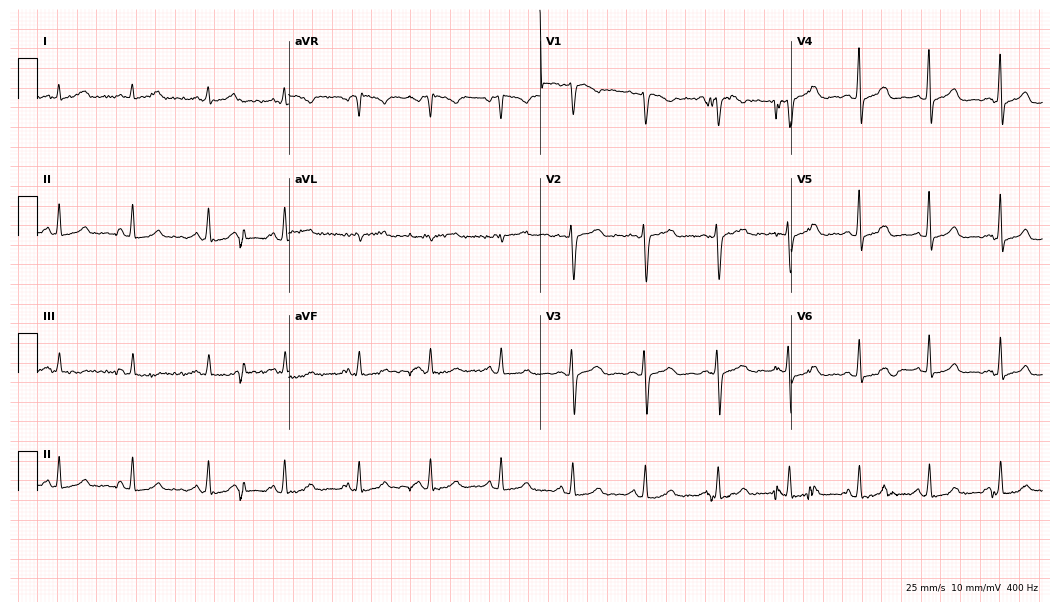
12-lead ECG from a 39-year-old female patient. Recorded interpretation: within normal limits.